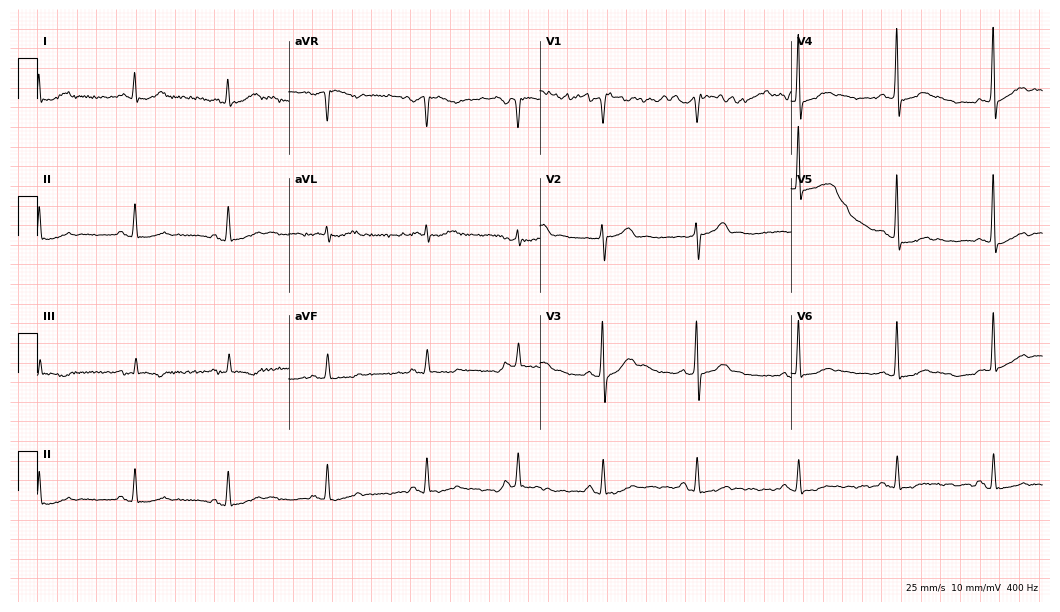
Resting 12-lead electrocardiogram. Patient: a woman, 62 years old. None of these six findings is recorded: first-degree AV block, right bundle branch block (RBBB), left bundle branch block (LBBB), sinus bradycardia, atrial fibrillation (AF), sinus tachycardia. Findings outside these six are not listed.